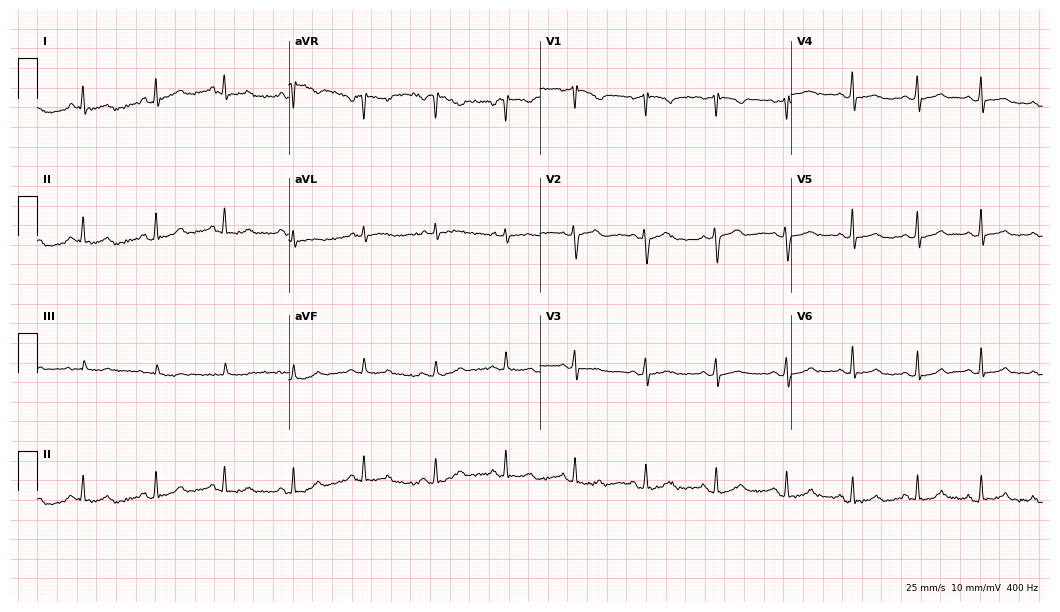
Resting 12-lead electrocardiogram. Patient: a female, 29 years old. Read as a normal ECG.